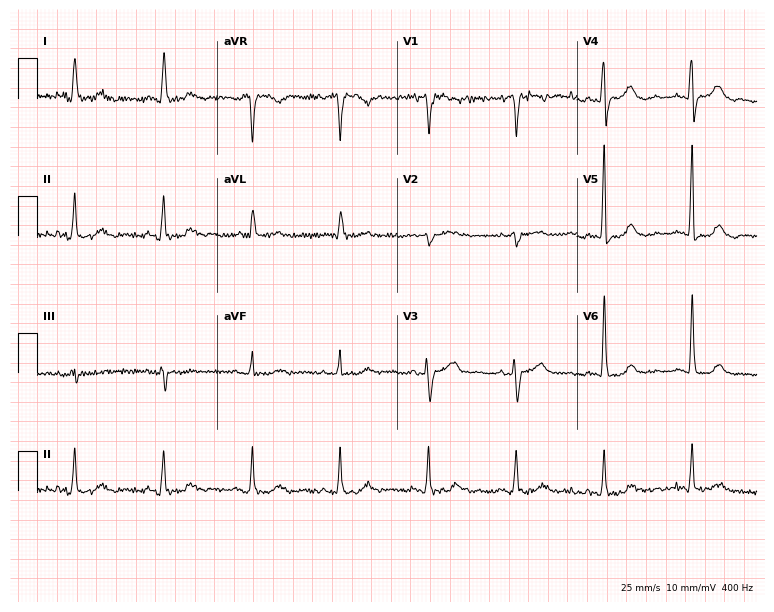
Resting 12-lead electrocardiogram (7.3-second recording at 400 Hz). Patient: a 72-year-old woman. Read as a normal ECG.